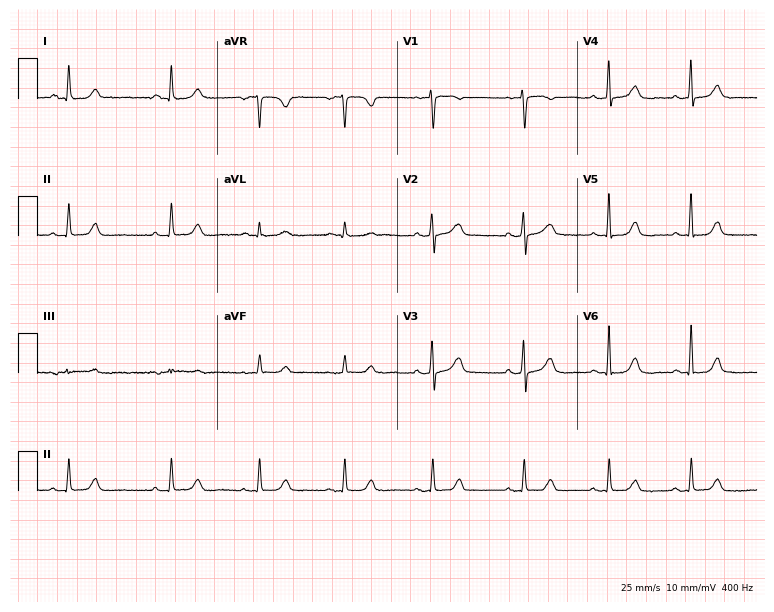
12-lead ECG from a female, 61 years old (7.3-second recording at 400 Hz). Recorded interpretation: within normal limits.